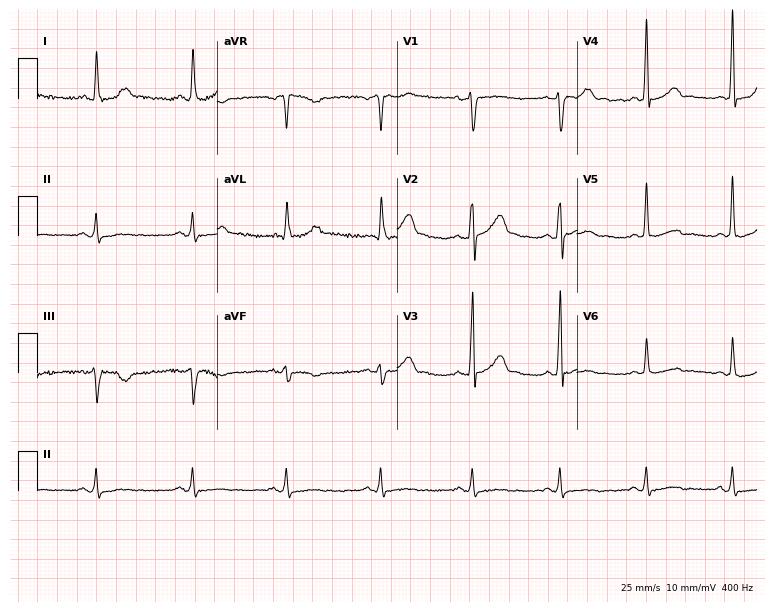
Resting 12-lead electrocardiogram (7.3-second recording at 400 Hz). Patient: a male, 46 years old. None of these six findings is recorded: first-degree AV block, right bundle branch block, left bundle branch block, sinus bradycardia, atrial fibrillation, sinus tachycardia. Other findings, if any, are not listed.